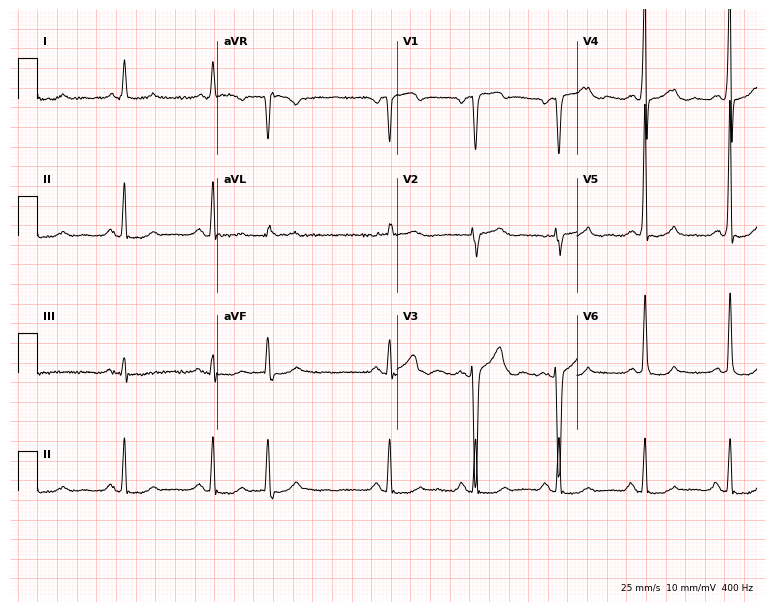
ECG — a man, 77 years old. Labelled as a normal ECG.